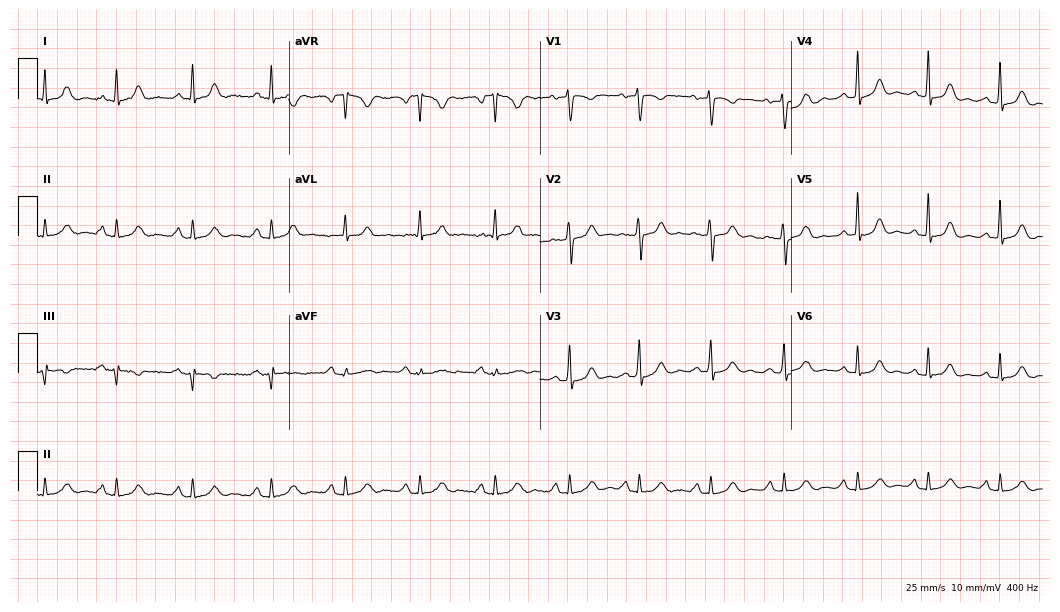
Standard 12-lead ECG recorded from a female, 39 years old (10.2-second recording at 400 Hz). Read as a normal ECG.